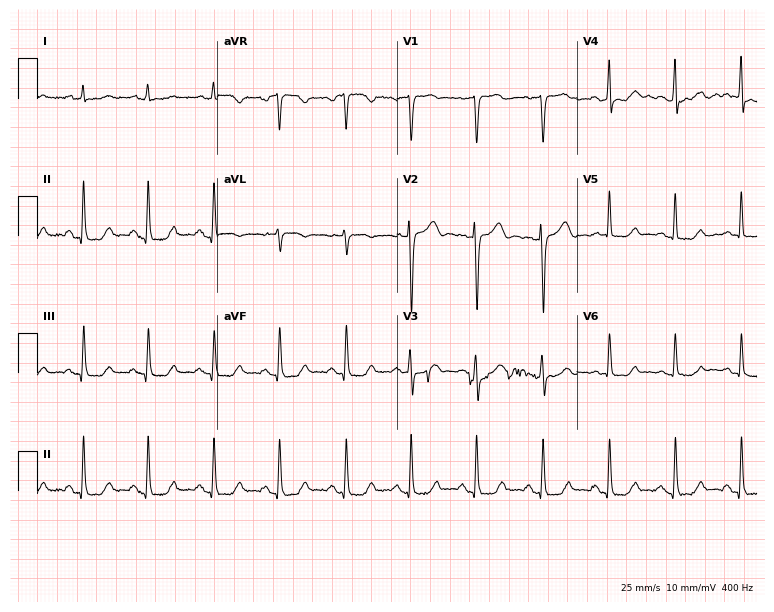
12-lead ECG from a 43-year-old female patient. No first-degree AV block, right bundle branch block, left bundle branch block, sinus bradycardia, atrial fibrillation or sinus tachycardia recorded for this tracing. Other findings, if any, are not listed.